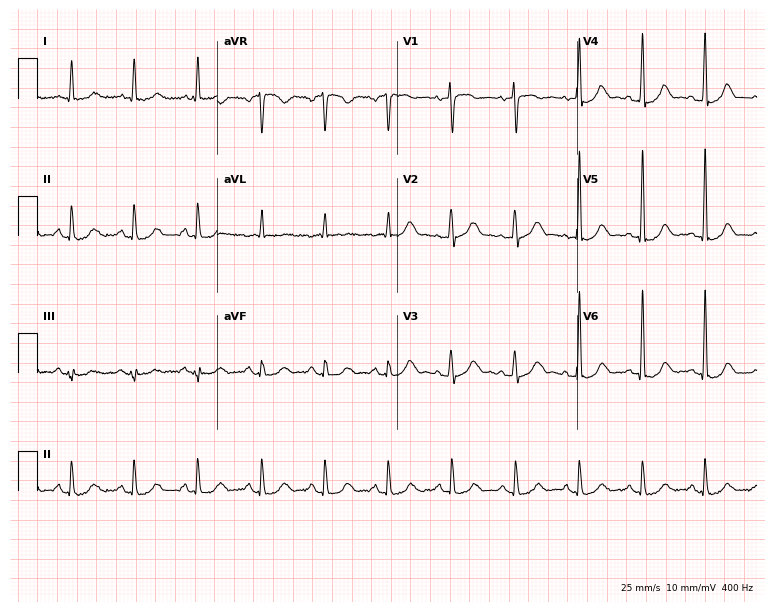
ECG — a 76-year-old woman. Labelled as a normal ECG.